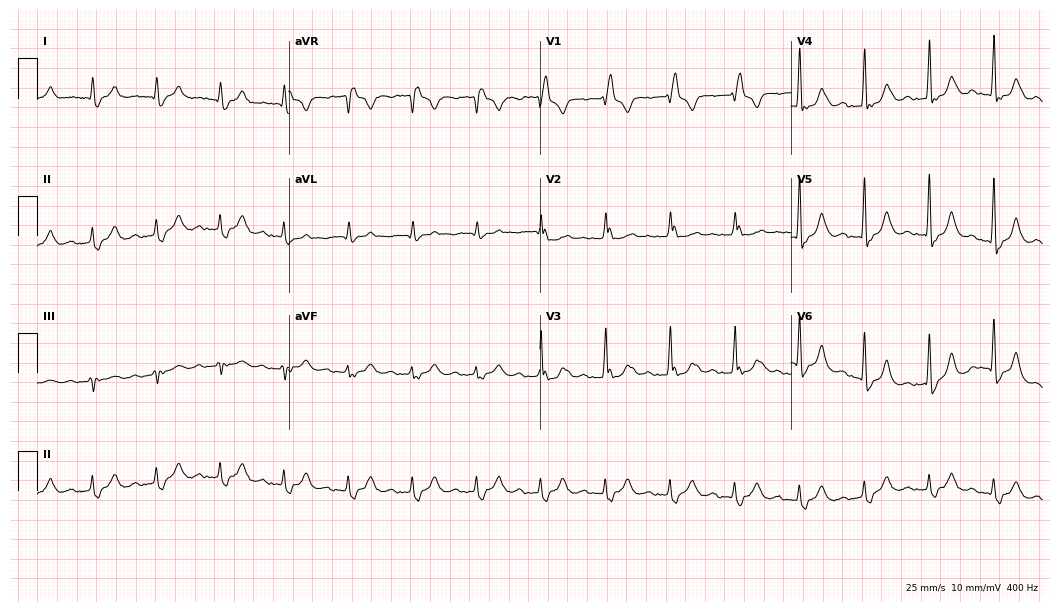
Standard 12-lead ECG recorded from a male patient, 88 years old. The tracing shows first-degree AV block, right bundle branch block.